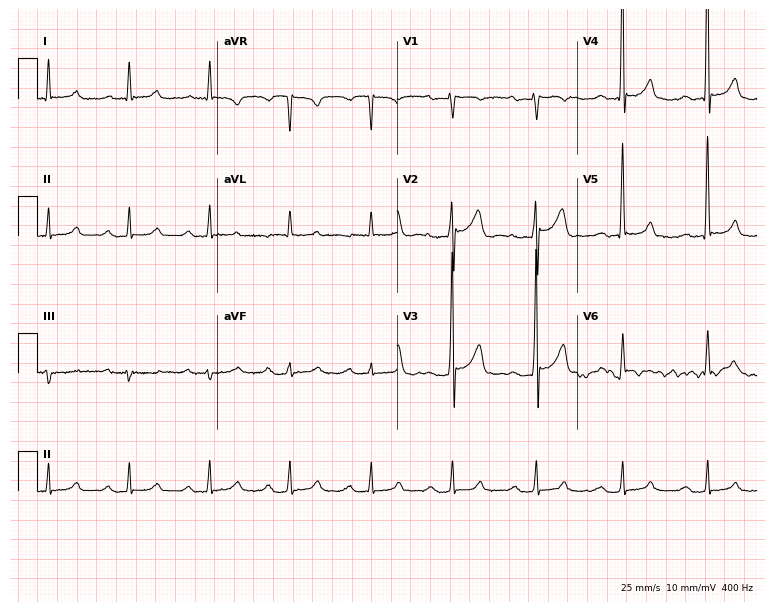
Electrocardiogram, a man, 73 years old. Interpretation includes first-degree AV block.